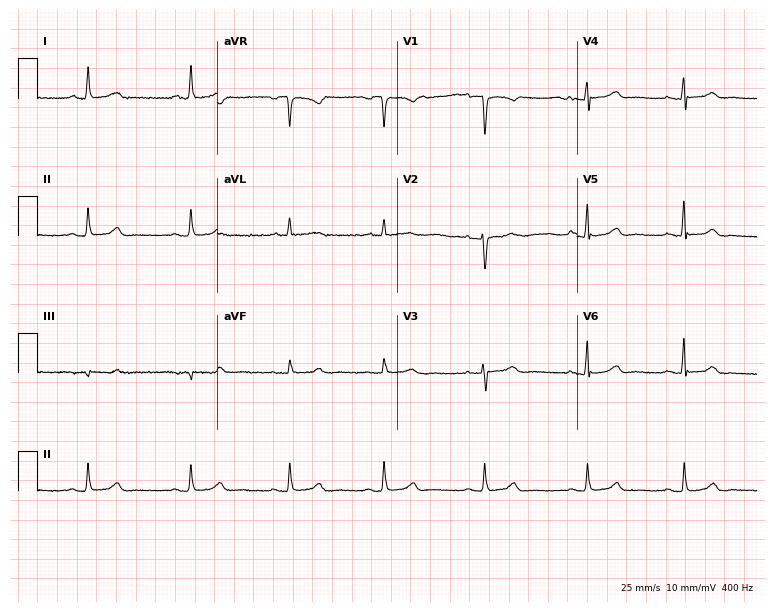
12-lead ECG from a 66-year-old male patient. Labelled as a normal ECG.